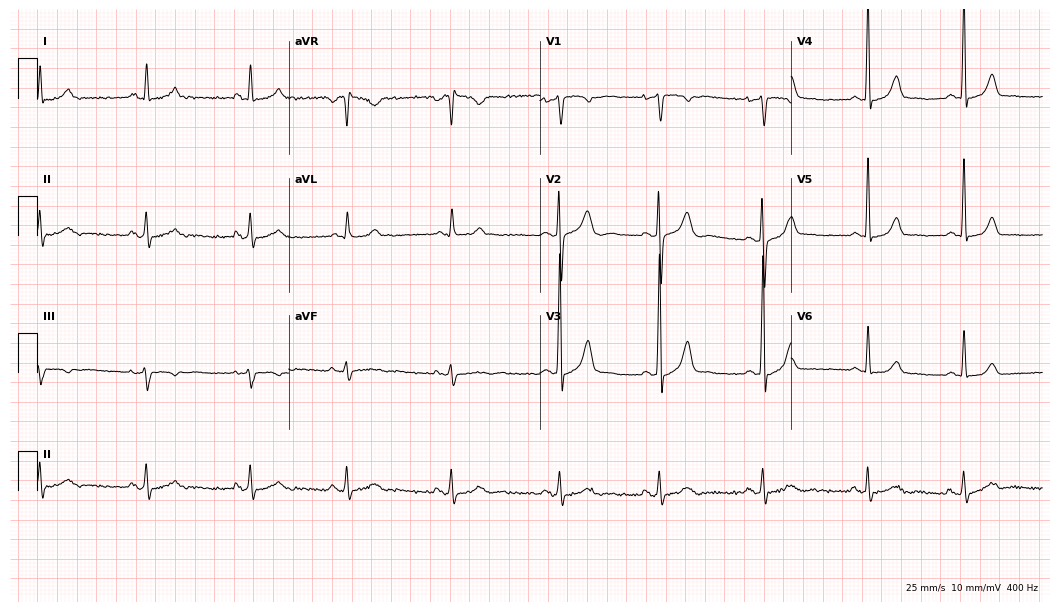
Standard 12-lead ECG recorded from a 39-year-old female. Read as a normal ECG.